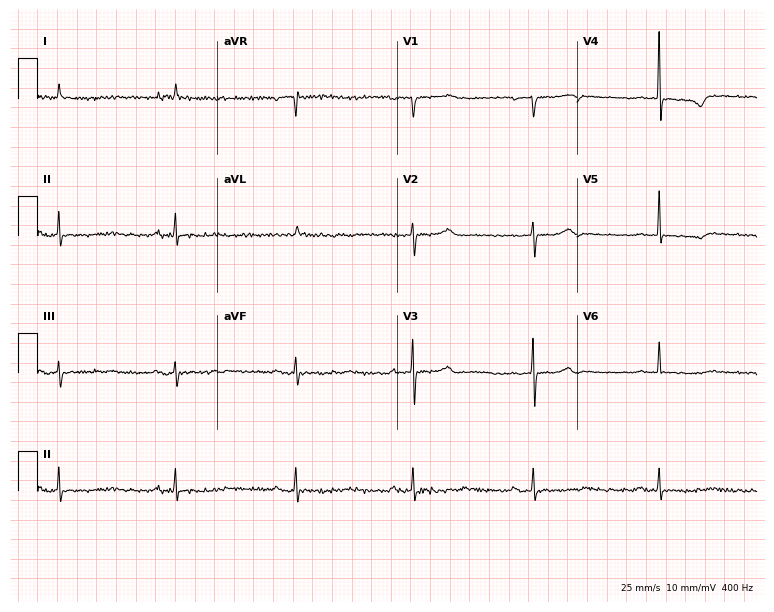
Electrocardiogram (7.3-second recording at 400 Hz), a woman, 83 years old. Overall reading on record: normal ECG.